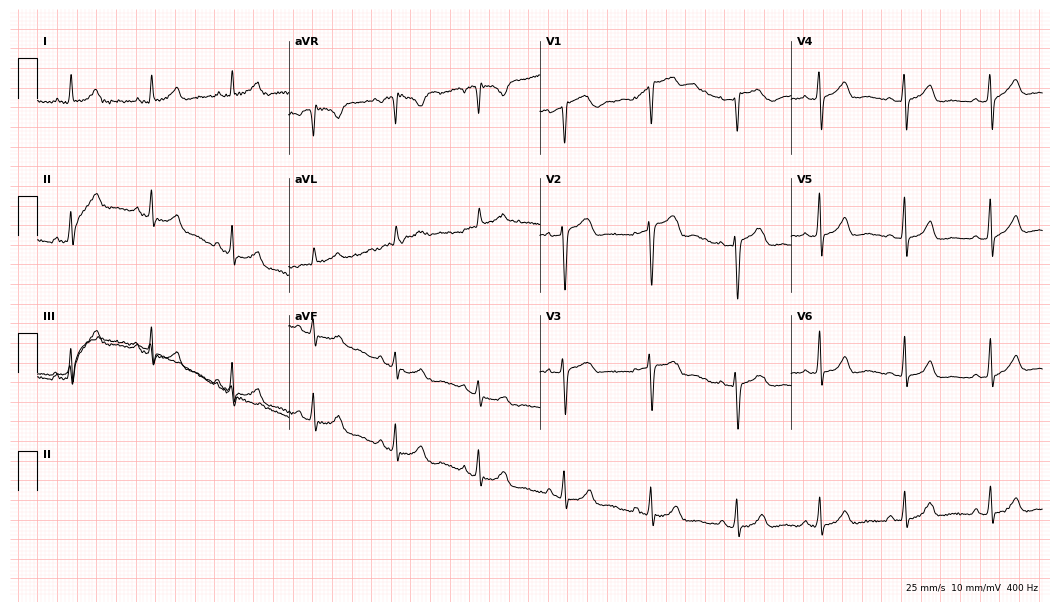
12-lead ECG from a female, 72 years old. Recorded interpretation: within normal limits.